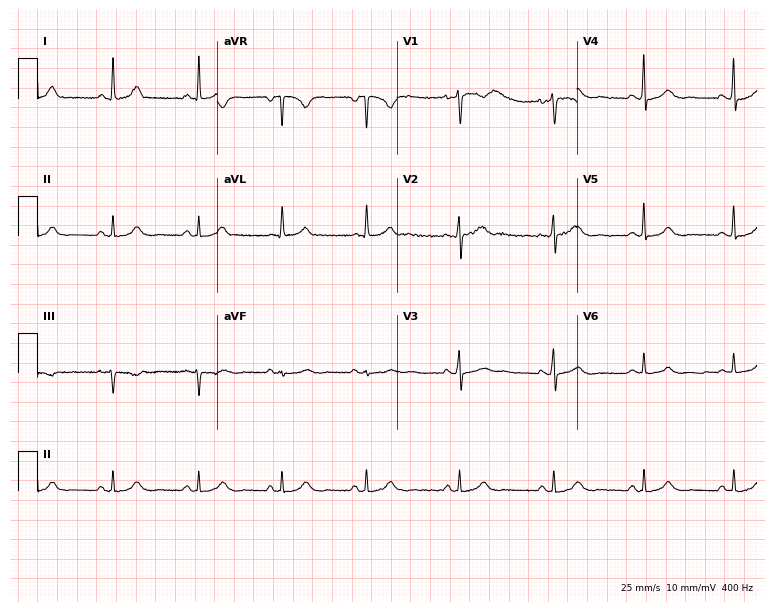
12-lead ECG from a woman, 43 years old (7.3-second recording at 400 Hz). Recorded interpretation: within normal limits.